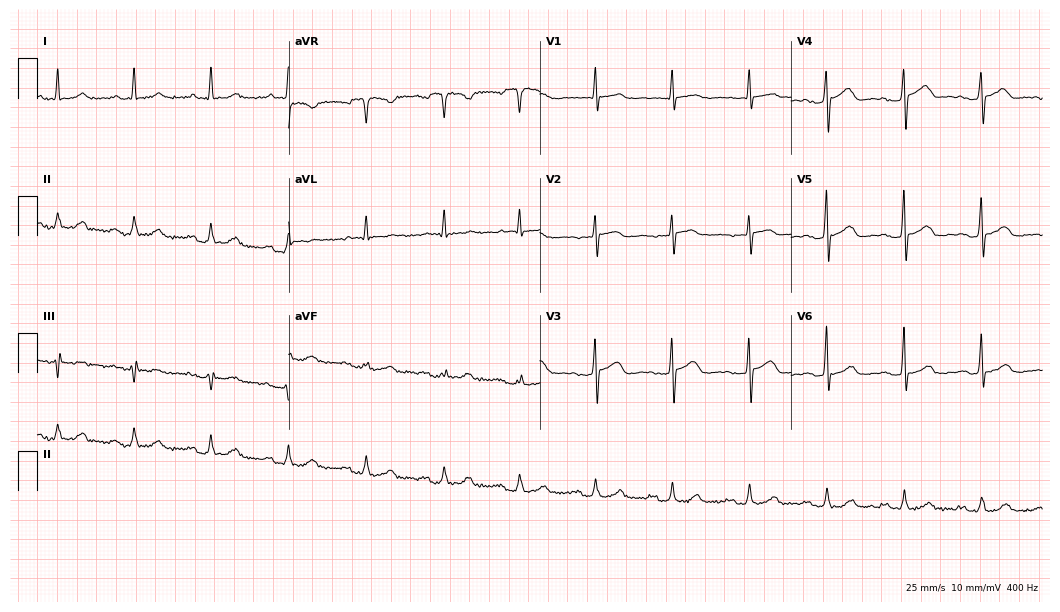
Electrocardiogram, an 82-year-old female. Of the six screened findings (first-degree AV block, right bundle branch block, left bundle branch block, sinus bradycardia, atrial fibrillation, sinus tachycardia), none is recorded. Only these six findings were labelled.